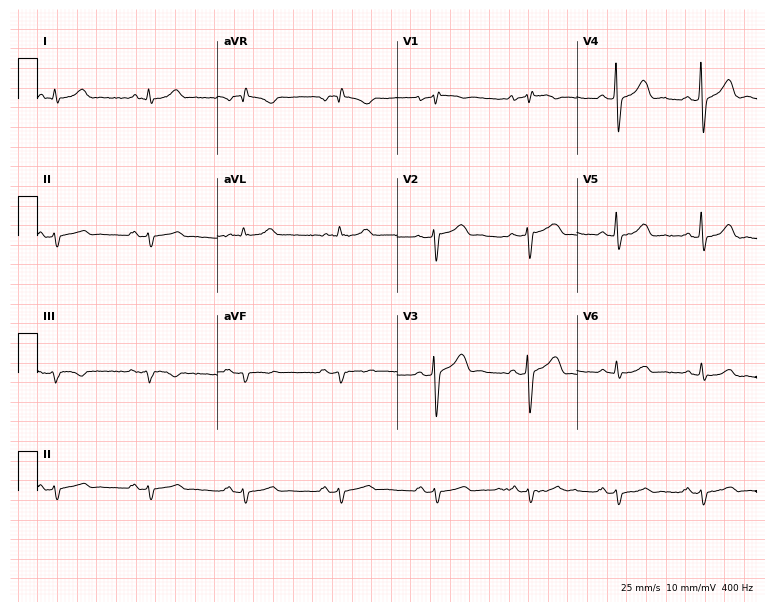
12-lead ECG from a 58-year-old male. No first-degree AV block, right bundle branch block, left bundle branch block, sinus bradycardia, atrial fibrillation or sinus tachycardia recorded for this tracing.